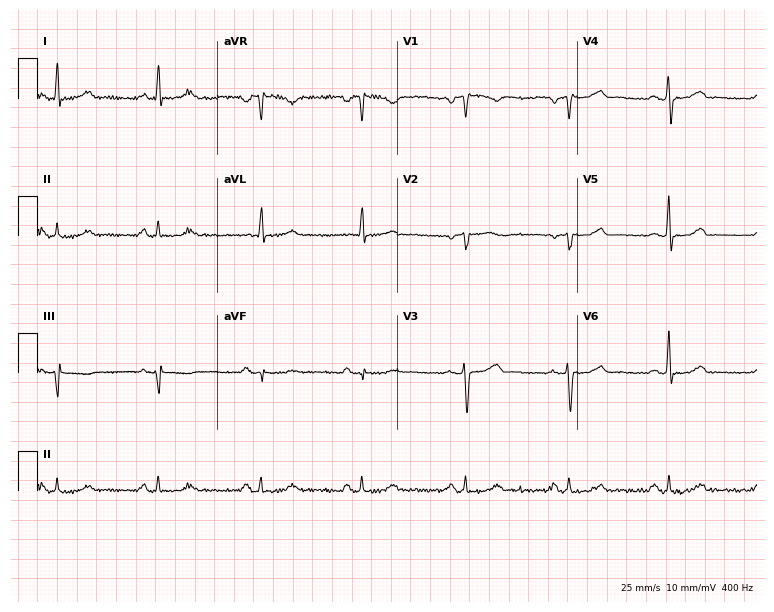
Electrocardiogram, a female patient, 28 years old. Overall reading on record: normal ECG.